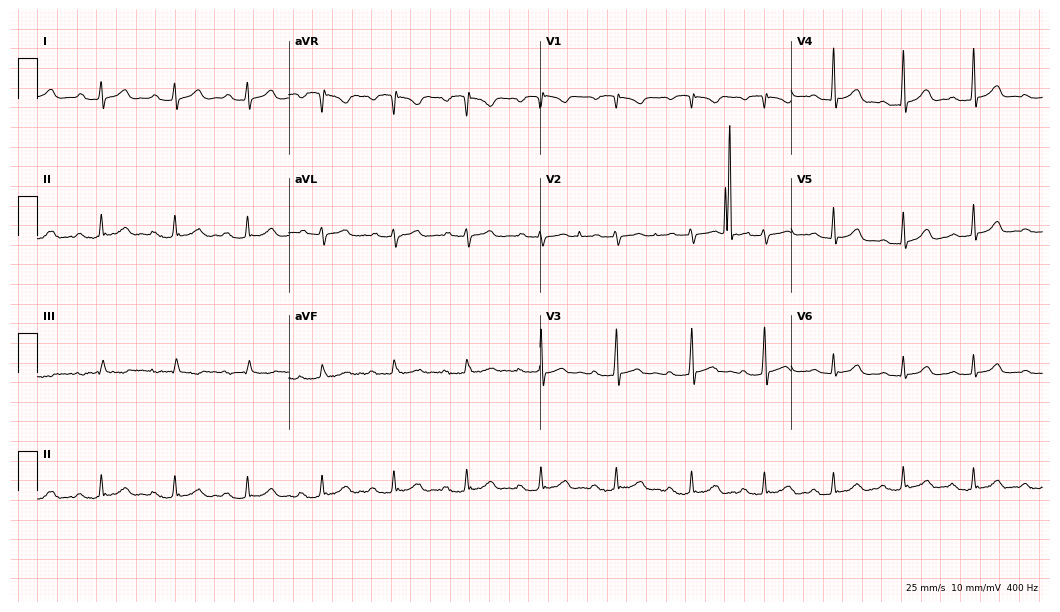
ECG (10.2-second recording at 400 Hz) — a 26-year-old female patient. Findings include first-degree AV block.